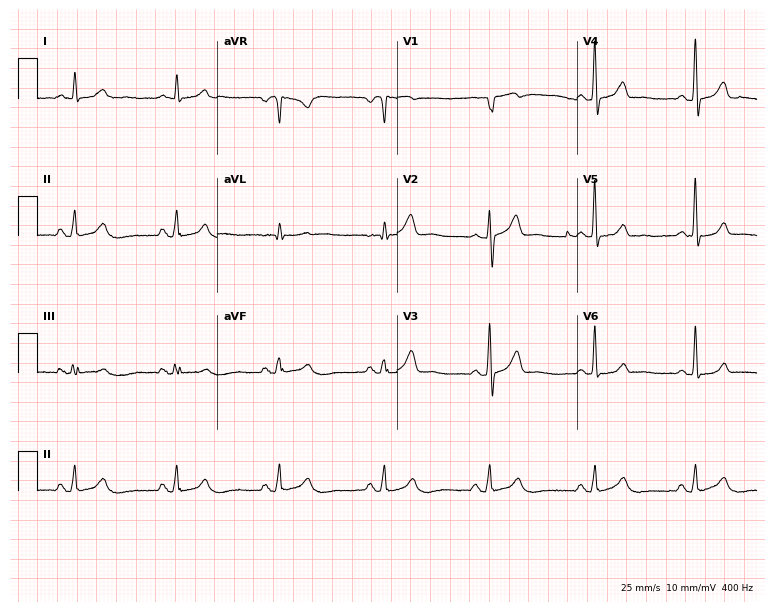
12-lead ECG from a man, 61 years old. Recorded interpretation: within normal limits.